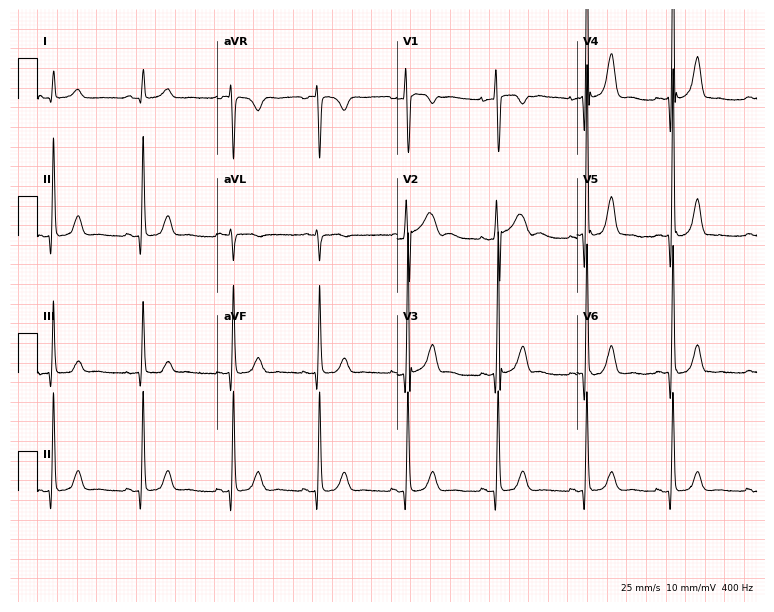
ECG (7.3-second recording at 400 Hz) — a male patient, 40 years old. Screened for six findings — first-degree AV block, right bundle branch block (RBBB), left bundle branch block (LBBB), sinus bradycardia, atrial fibrillation (AF), sinus tachycardia — none is recorded.